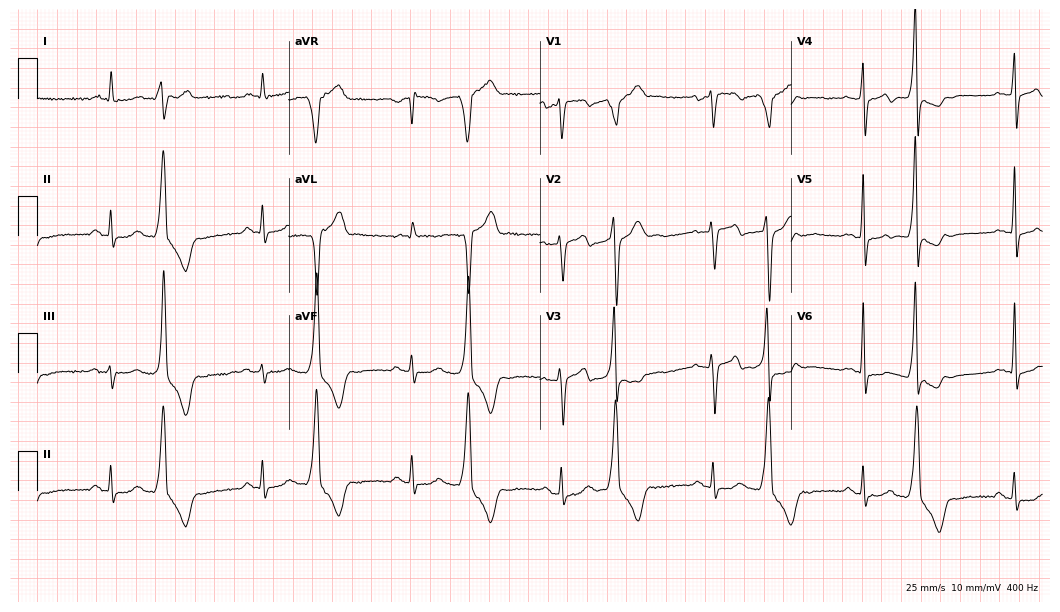
12-lead ECG from a male patient, 77 years old. Screened for six findings — first-degree AV block, right bundle branch block, left bundle branch block, sinus bradycardia, atrial fibrillation, sinus tachycardia — none is recorded.